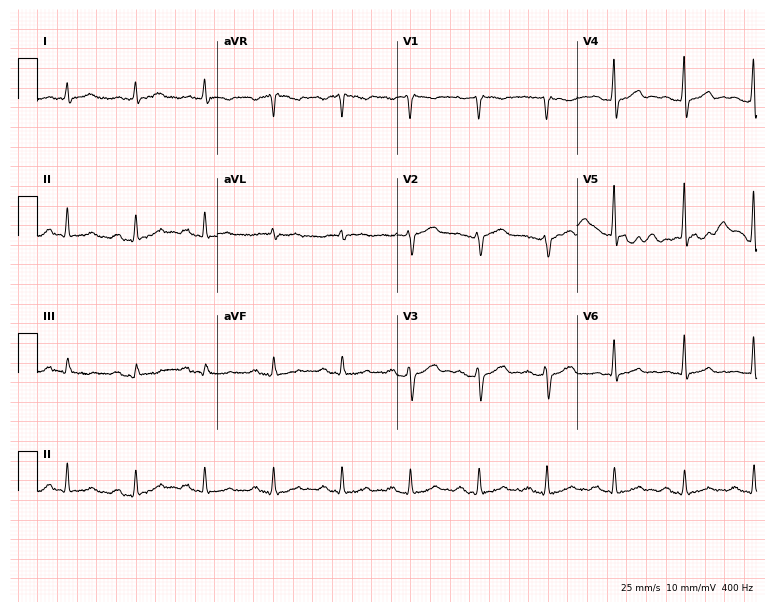
12-lead ECG from a man, 72 years old. Recorded interpretation: within normal limits.